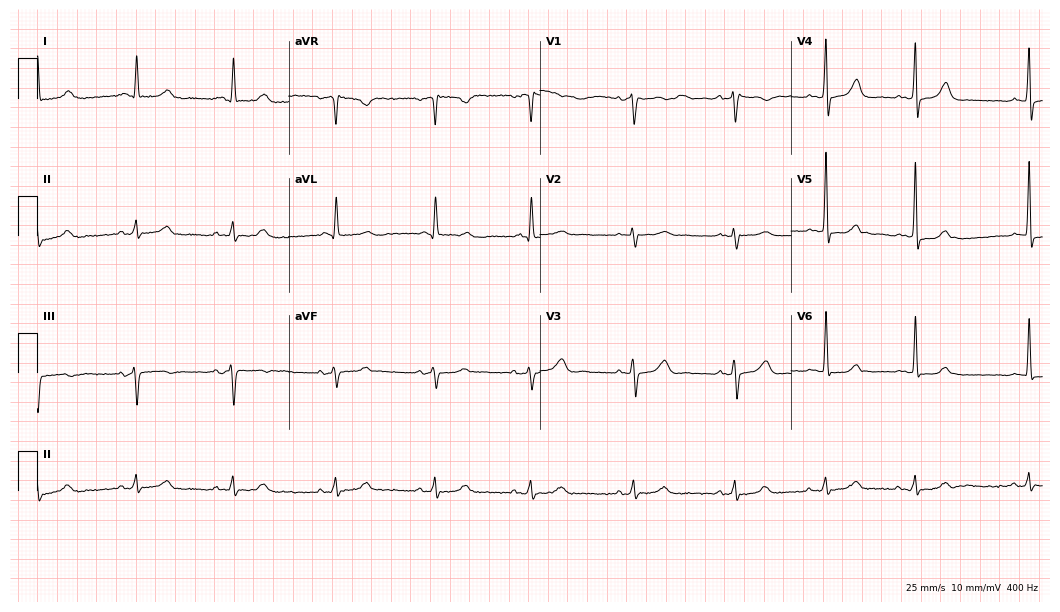
Resting 12-lead electrocardiogram (10.2-second recording at 400 Hz). Patient: an 83-year-old female. None of these six findings is recorded: first-degree AV block, right bundle branch block, left bundle branch block, sinus bradycardia, atrial fibrillation, sinus tachycardia. Other findings, if any, are not listed.